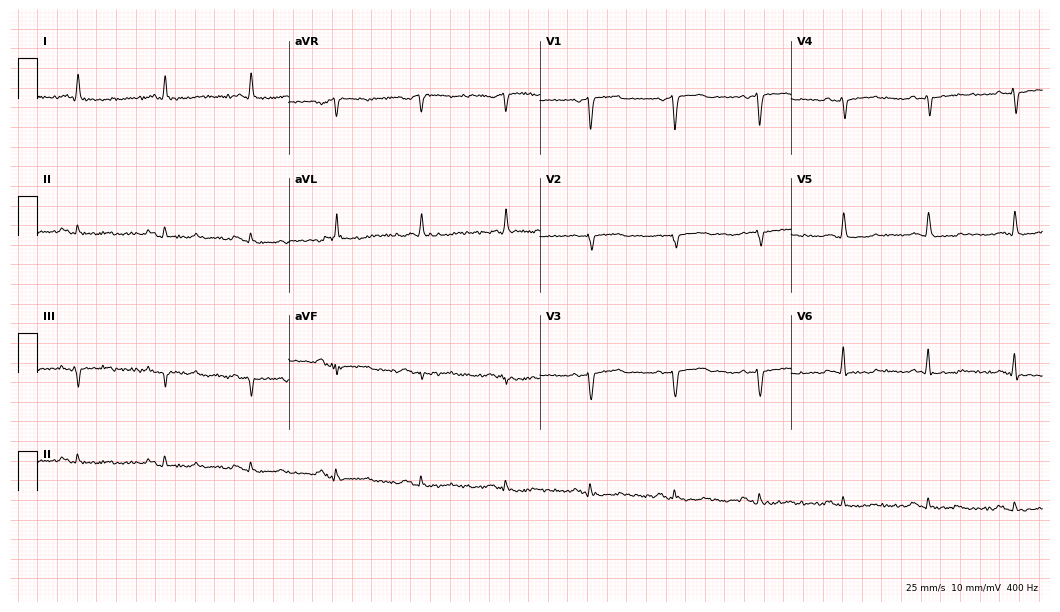
12-lead ECG from a male, 64 years old. No first-degree AV block, right bundle branch block (RBBB), left bundle branch block (LBBB), sinus bradycardia, atrial fibrillation (AF) or sinus tachycardia recorded for this tracing. Other findings, if any, are not listed.